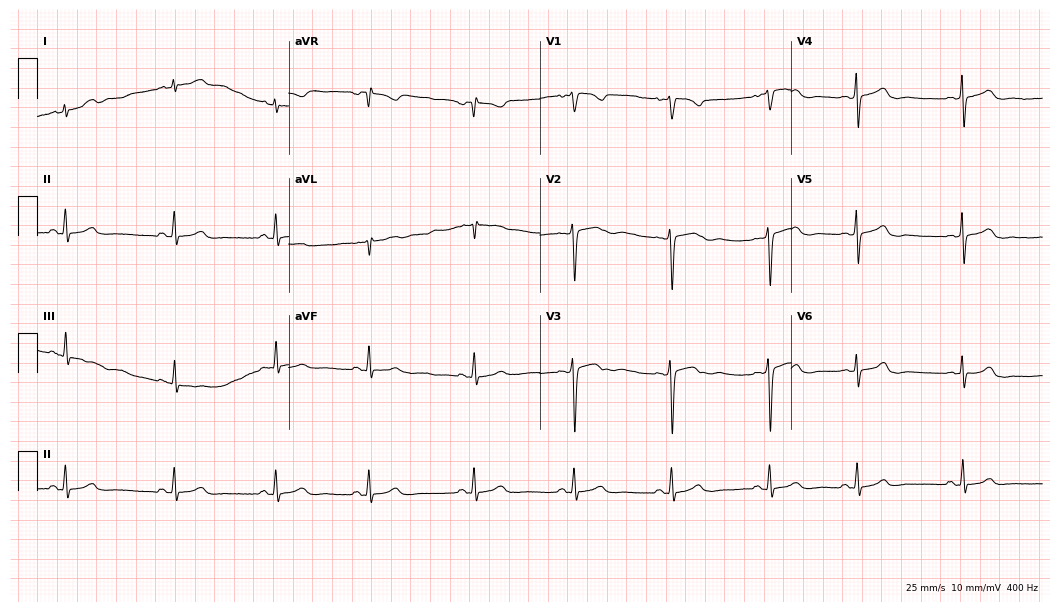
Standard 12-lead ECG recorded from a woman, 19 years old. Read as a normal ECG.